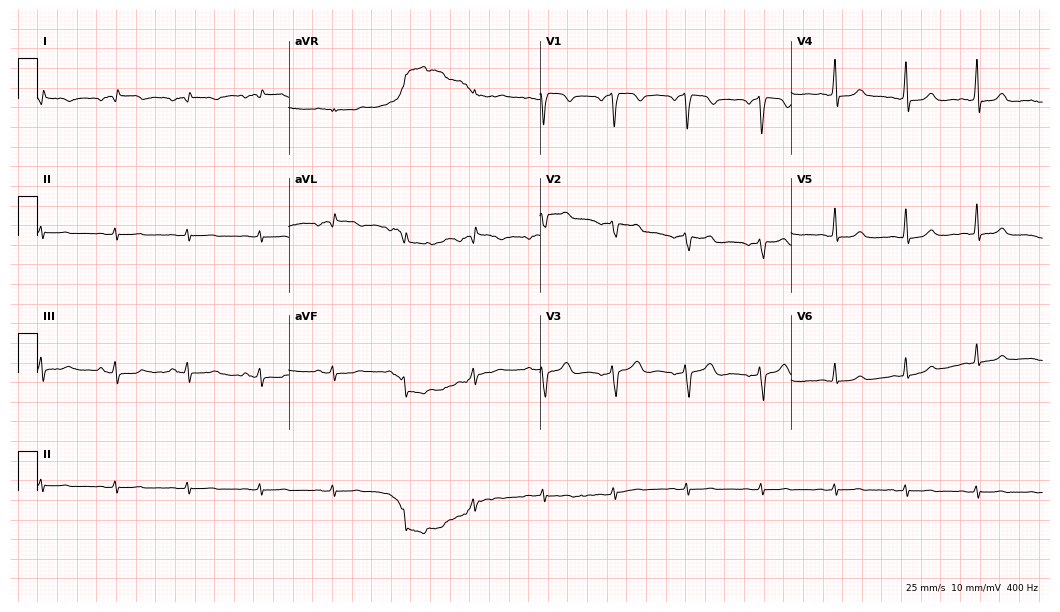
ECG — a woman, 69 years old. Screened for six findings — first-degree AV block, right bundle branch block, left bundle branch block, sinus bradycardia, atrial fibrillation, sinus tachycardia — none is recorded.